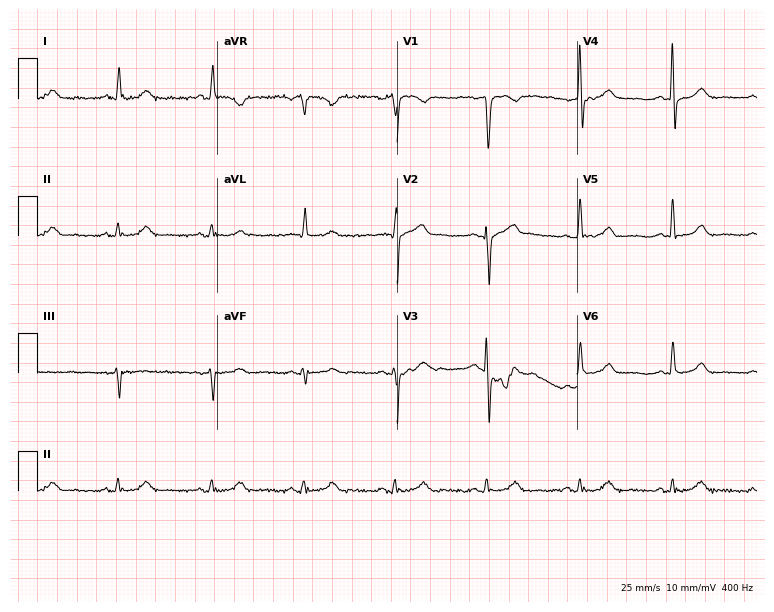
Standard 12-lead ECG recorded from a 66-year-old man (7.3-second recording at 400 Hz). None of these six findings is recorded: first-degree AV block, right bundle branch block, left bundle branch block, sinus bradycardia, atrial fibrillation, sinus tachycardia. Other findings, if any, are not listed.